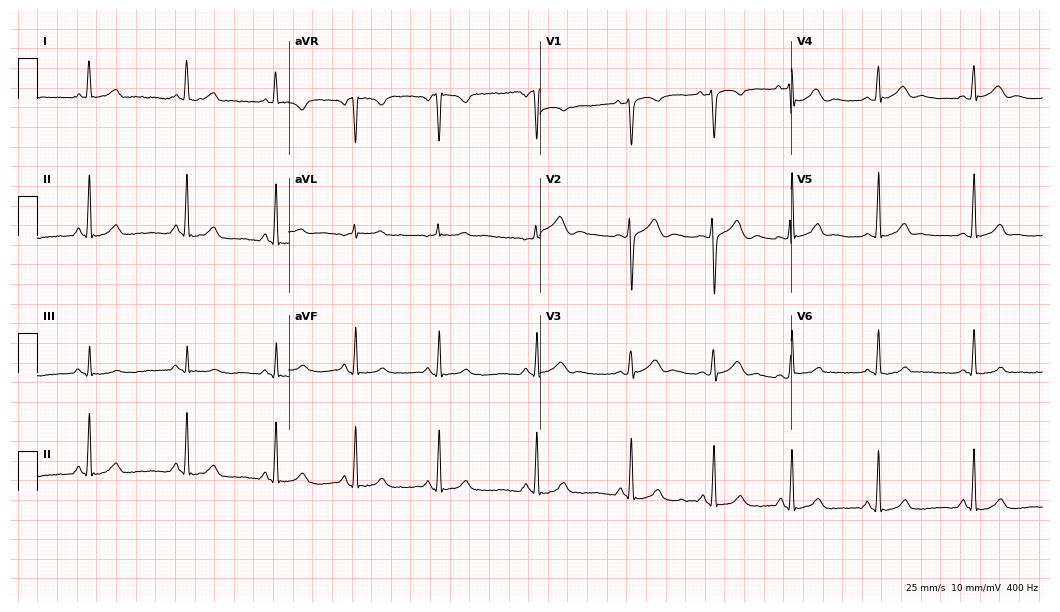
12-lead ECG (10.2-second recording at 400 Hz) from a woman, 31 years old. Labelled as a normal ECG.